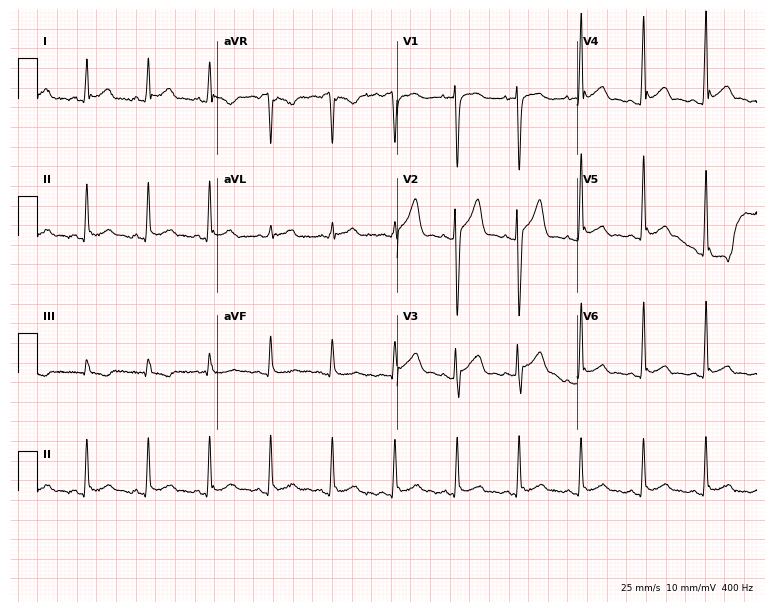
12-lead ECG from a 29-year-old male patient. Screened for six findings — first-degree AV block, right bundle branch block, left bundle branch block, sinus bradycardia, atrial fibrillation, sinus tachycardia — none is recorded.